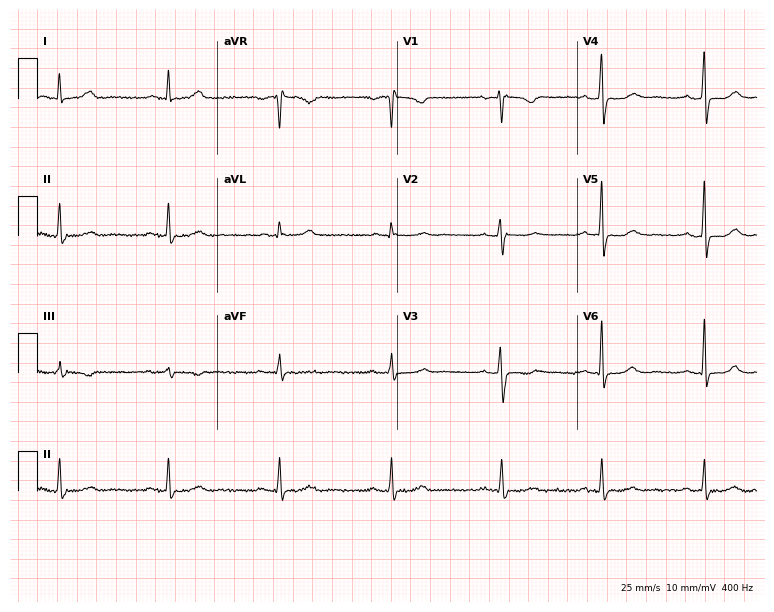
Electrocardiogram, a 51-year-old male patient. Overall reading on record: normal ECG.